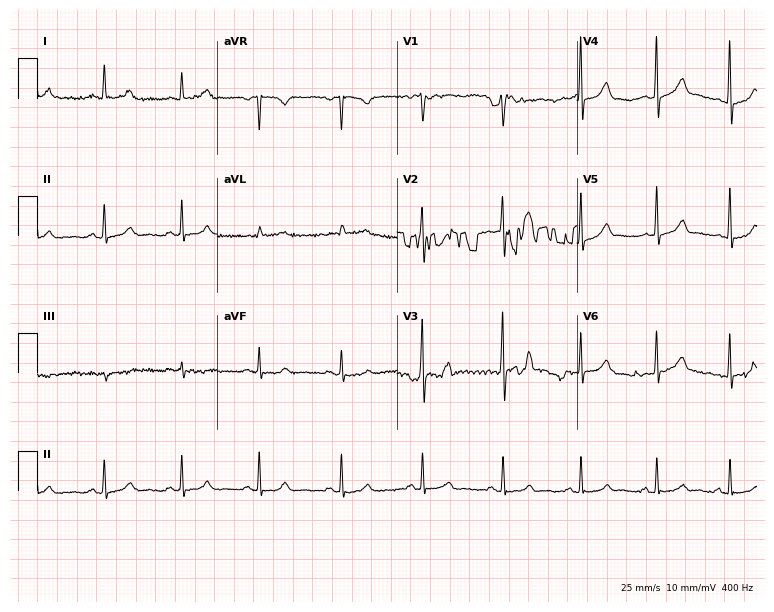
Resting 12-lead electrocardiogram. Patient: a 41-year-old female. Read as a normal ECG.